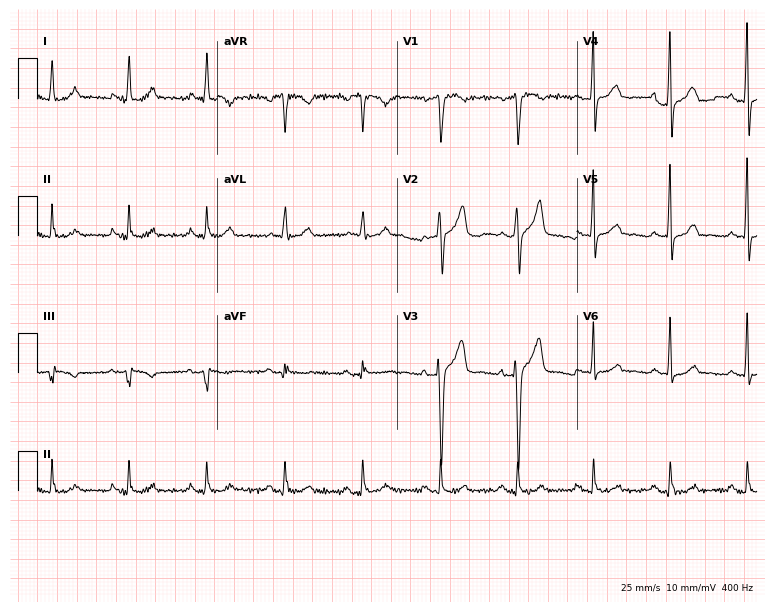
Resting 12-lead electrocardiogram (7.3-second recording at 400 Hz). Patient: a 42-year-old male. Read as a normal ECG.